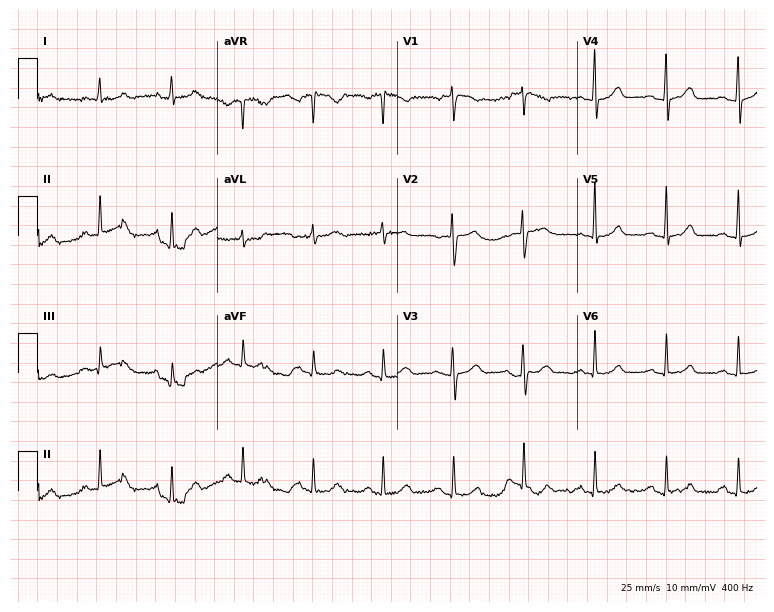
12-lead ECG (7.3-second recording at 400 Hz) from a woman, 55 years old. Labelled as a normal ECG.